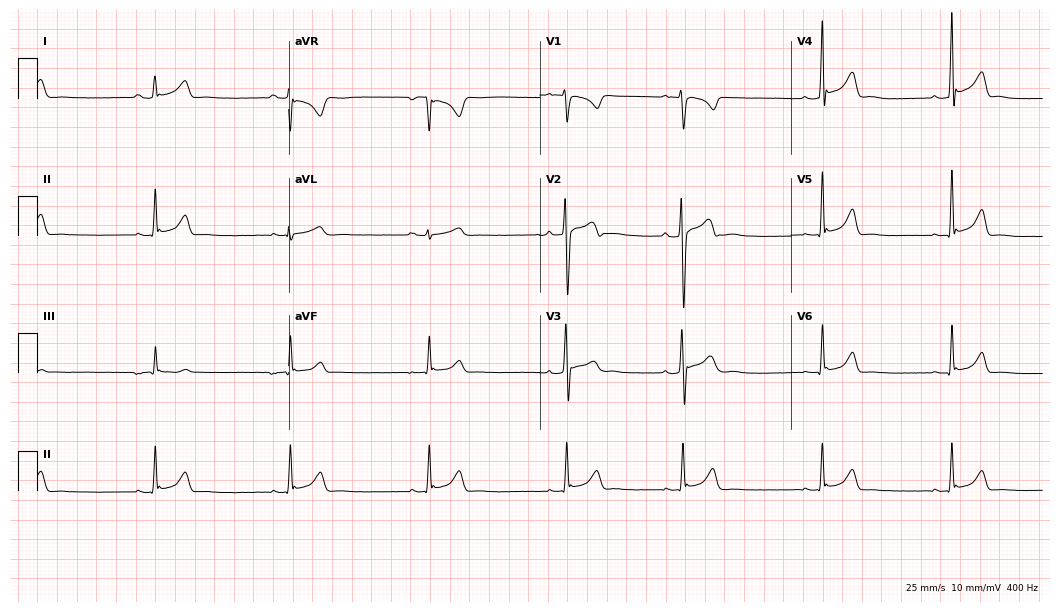
12-lead ECG (10.2-second recording at 400 Hz) from a 17-year-old male. Screened for six findings — first-degree AV block, right bundle branch block, left bundle branch block, sinus bradycardia, atrial fibrillation, sinus tachycardia — none is recorded. Only these six findings were labelled.